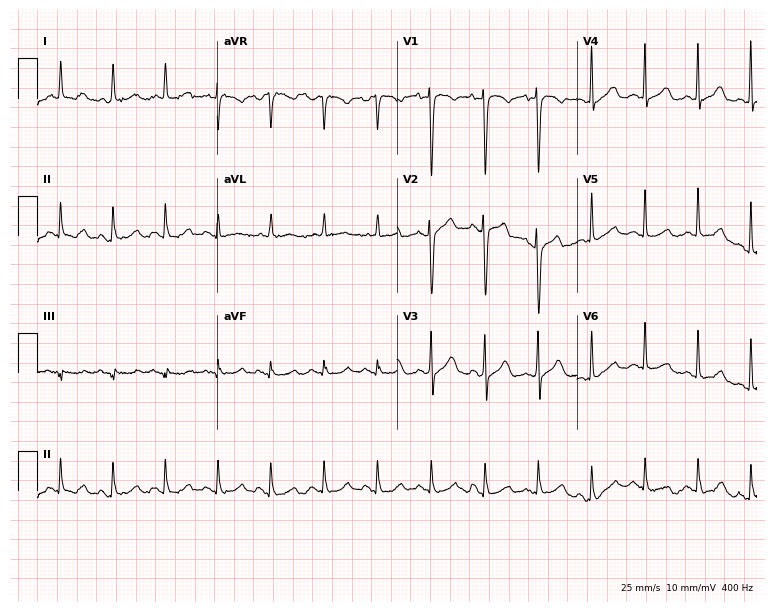
ECG (7.3-second recording at 400 Hz) — a female patient, 73 years old. Findings include sinus tachycardia (a sinus rate of 100 beats per minute or more).